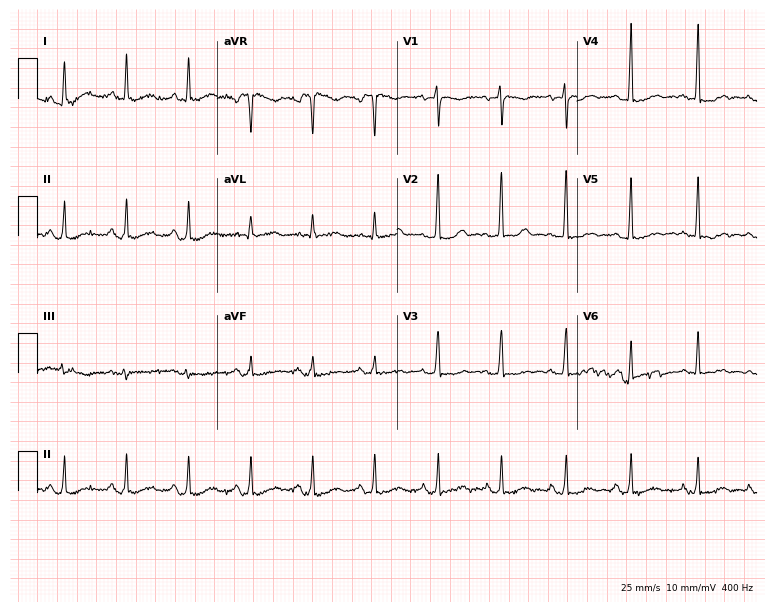
12-lead ECG (7.3-second recording at 400 Hz) from a female, 57 years old. Screened for six findings — first-degree AV block, right bundle branch block, left bundle branch block, sinus bradycardia, atrial fibrillation, sinus tachycardia — none is recorded. Only these six findings were labelled.